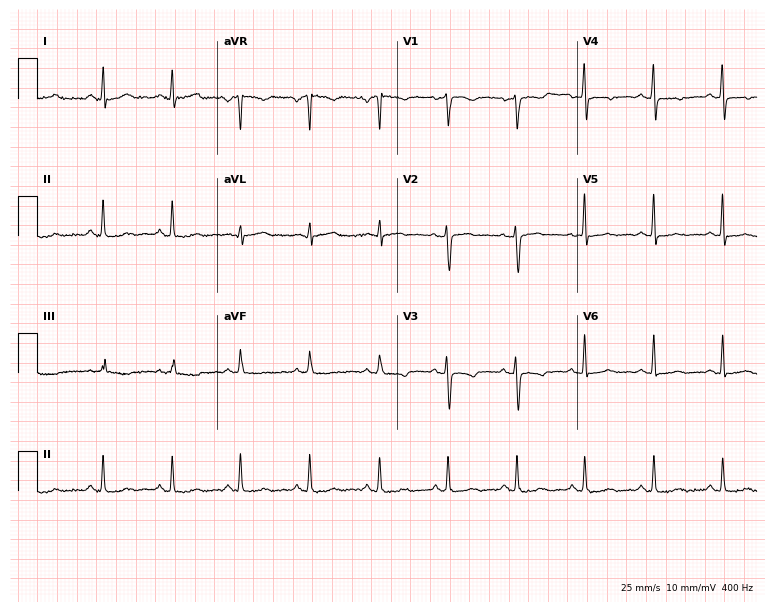
ECG (7.3-second recording at 400 Hz) — a 34-year-old woman. Screened for six findings — first-degree AV block, right bundle branch block, left bundle branch block, sinus bradycardia, atrial fibrillation, sinus tachycardia — none is recorded.